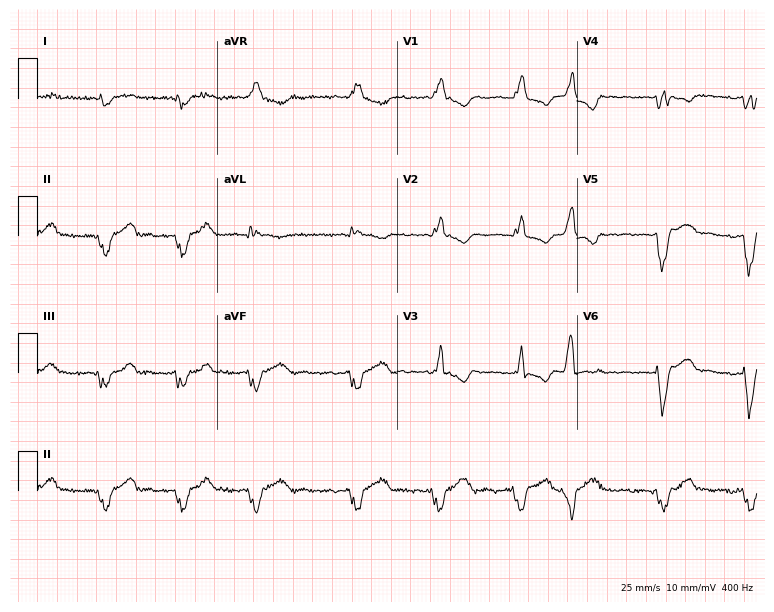
Resting 12-lead electrocardiogram (7.3-second recording at 400 Hz). Patient: a 68-year-old male. The tracing shows right bundle branch block (RBBB), atrial fibrillation (AF).